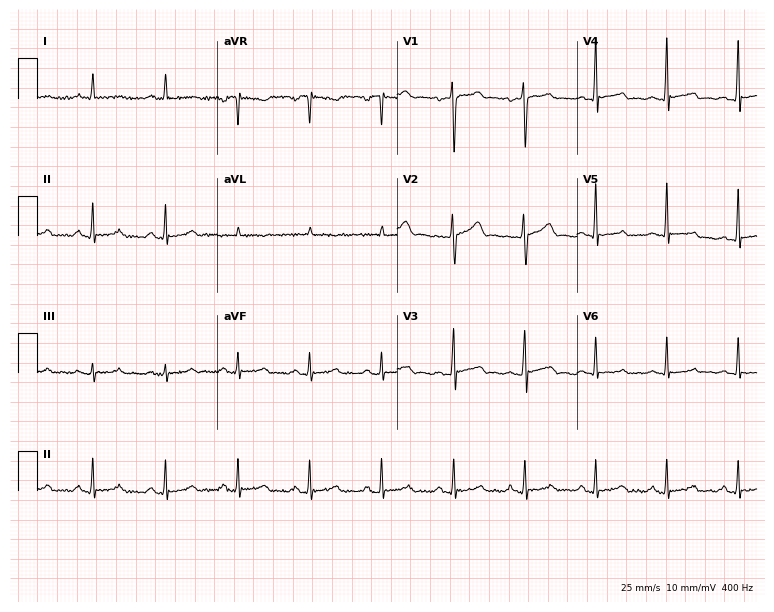
Standard 12-lead ECG recorded from a 47-year-old male patient (7.3-second recording at 400 Hz). None of these six findings is recorded: first-degree AV block, right bundle branch block (RBBB), left bundle branch block (LBBB), sinus bradycardia, atrial fibrillation (AF), sinus tachycardia. Findings outside these six are not listed.